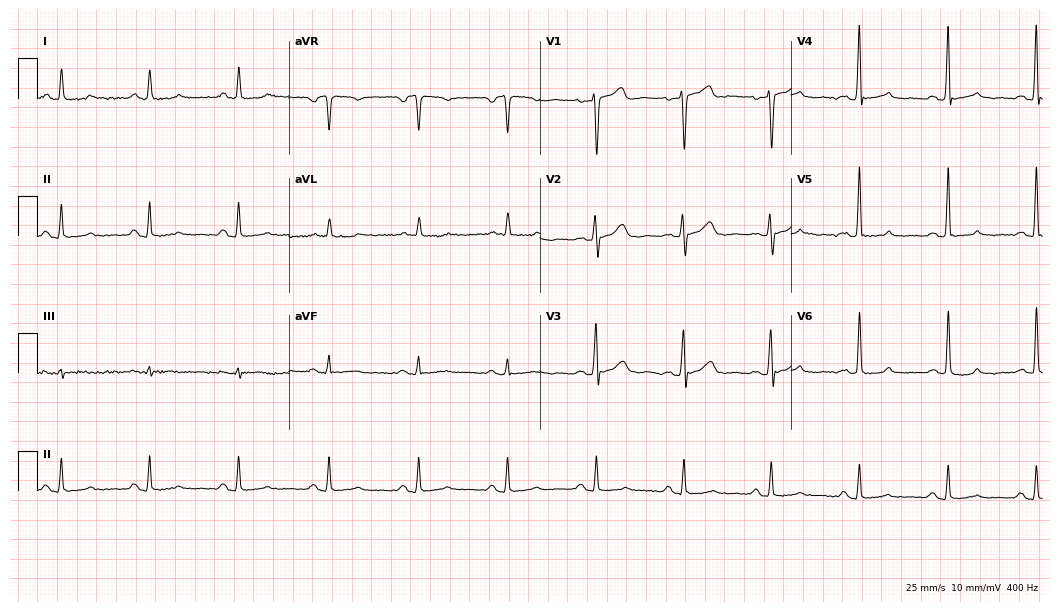
Resting 12-lead electrocardiogram (10.2-second recording at 400 Hz). Patient: a 56-year-old male. None of these six findings is recorded: first-degree AV block, right bundle branch block (RBBB), left bundle branch block (LBBB), sinus bradycardia, atrial fibrillation (AF), sinus tachycardia.